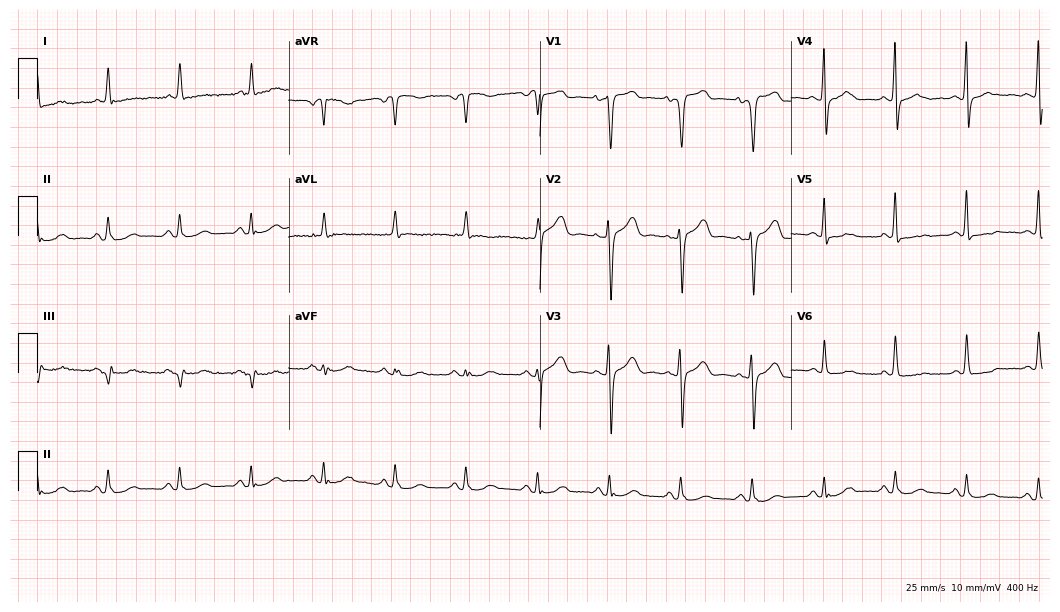
Resting 12-lead electrocardiogram. Patient: a 78-year-old female. None of these six findings is recorded: first-degree AV block, right bundle branch block, left bundle branch block, sinus bradycardia, atrial fibrillation, sinus tachycardia.